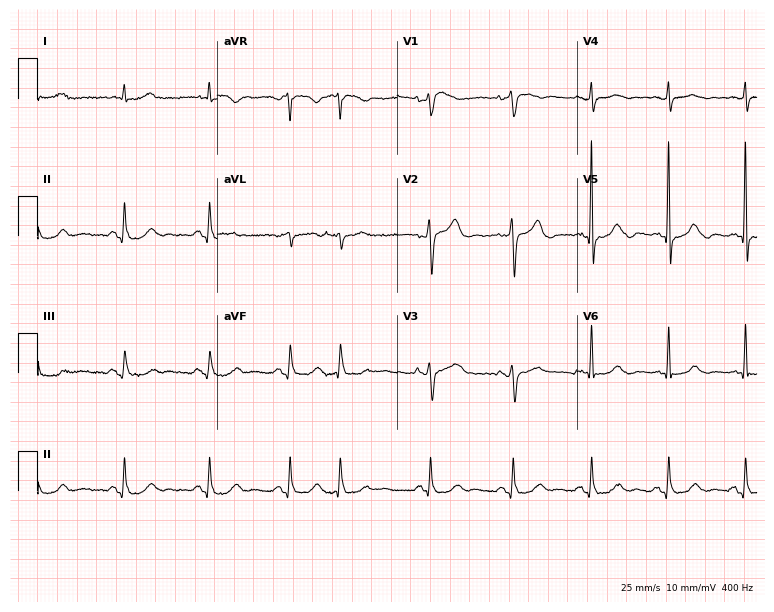
Standard 12-lead ECG recorded from an 84-year-old male (7.3-second recording at 400 Hz). Read as a normal ECG.